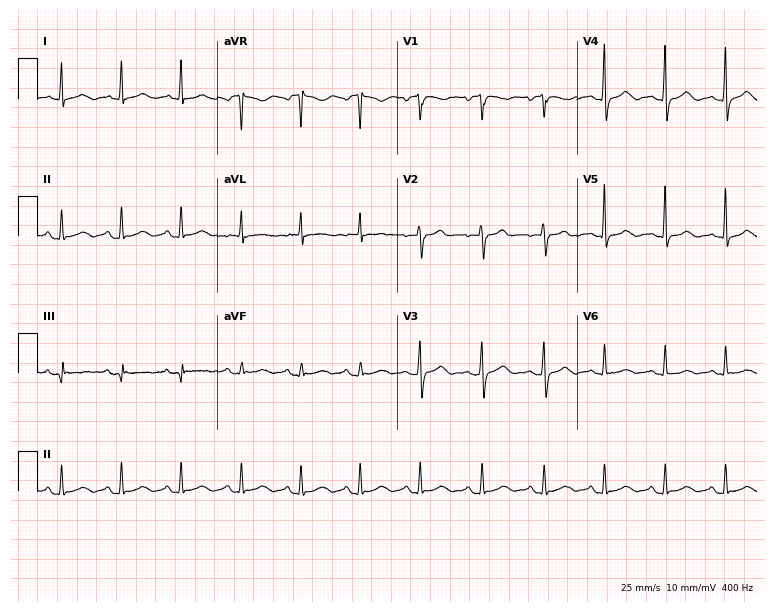
ECG (7.3-second recording at 400 Hz) — a female, 56 years old. Screened for six findings — first-degree AV block, right bundle branch block, left bundle branch block, sinus bradycardia, atrial fibrillation, sinus tachycardia — none is recorded.